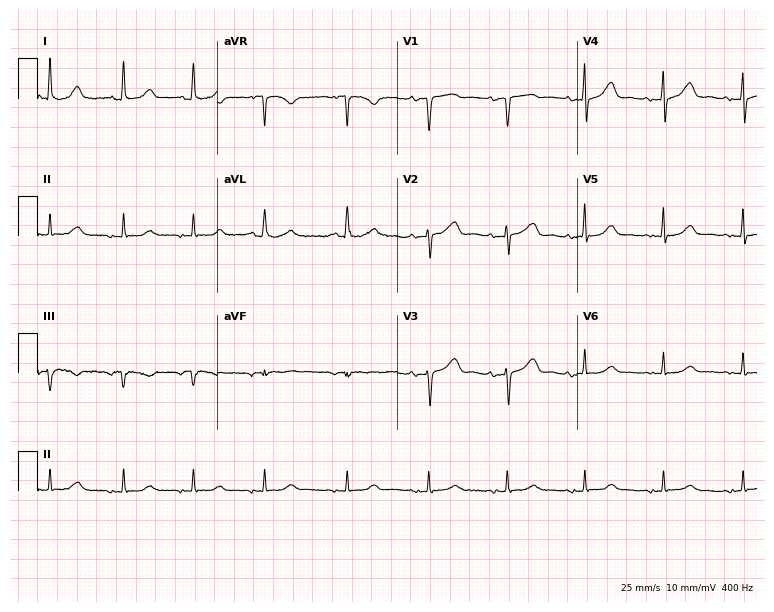
ECG — a female patient, 72 years old. Labelled as a normal ECG.